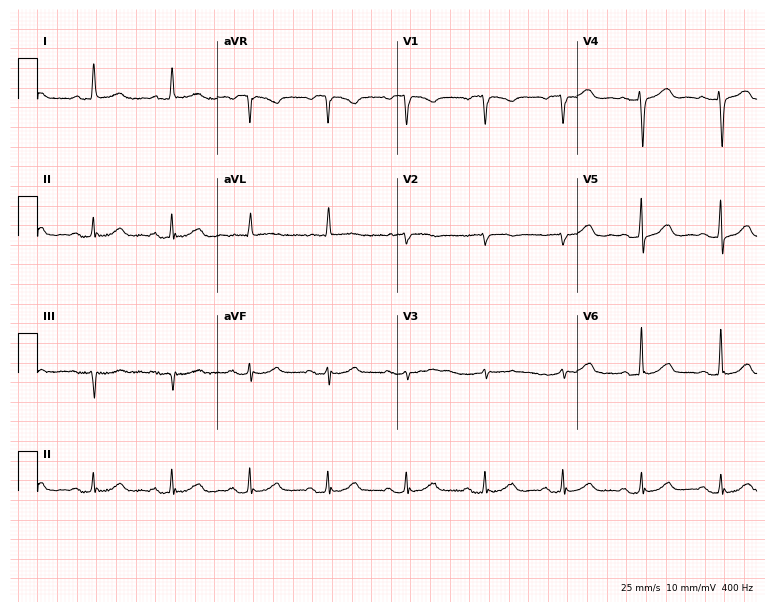
Resting 12-lead electrocardiogram. Patient: a 75-year-old woman. None of these six findings is recorded: first-degree AV block, right bundle branch block, left bundle branch block, sinus bradycardia, atrial fibrillation, sinus tachycardia. Other findings, if any, are not listed.